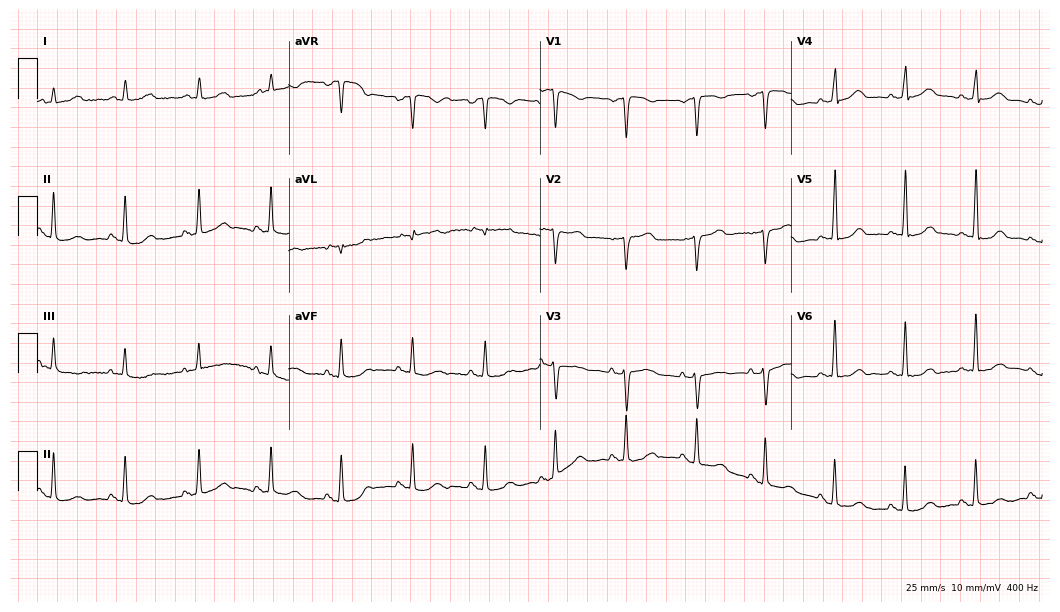
Standard 12-lead ECG recorded from a female patient, 49 years old (10.2-second recording at 400 Hz). None of these six findings is recorded: first-degree AV block, right bundle branch block, left bundle branch block, sinus bradycardia, atrial fibrillation, sinus tachycardia. Only these six findings were labelled.